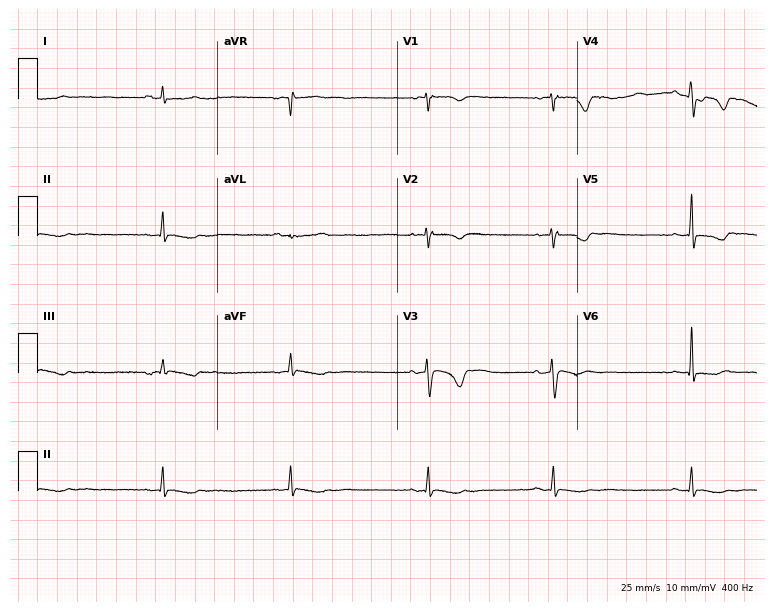
Standard 12-lead ECG recorded from a woman, 22 years old. None of these six findings is recorded: first-degree AV block, right bundle branch block, left bundle branch block, sinus bradycardia, atrial fibrillation, sinus tachycardia.